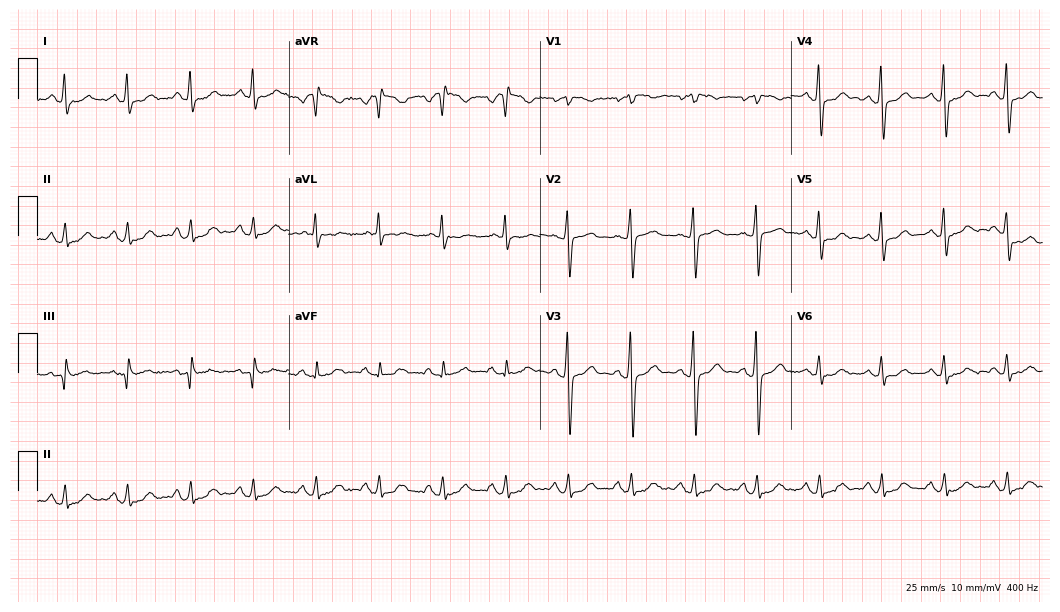
Standard 12-lead ECG recorded from a male patient, 40 years old. Read as a normal ECG.